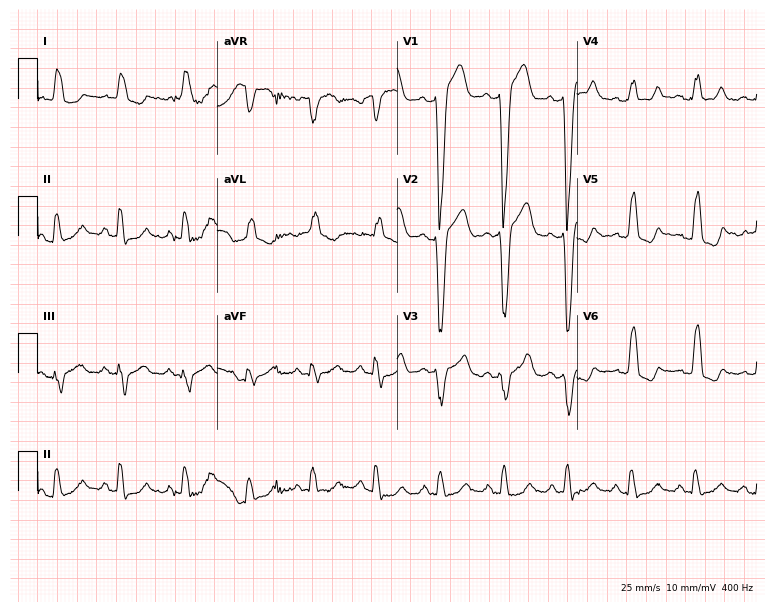
Electrocardiogram (7.3-second recording at 400 Hz), a male, 76 years old. Interpretation includes left bundle branch block.